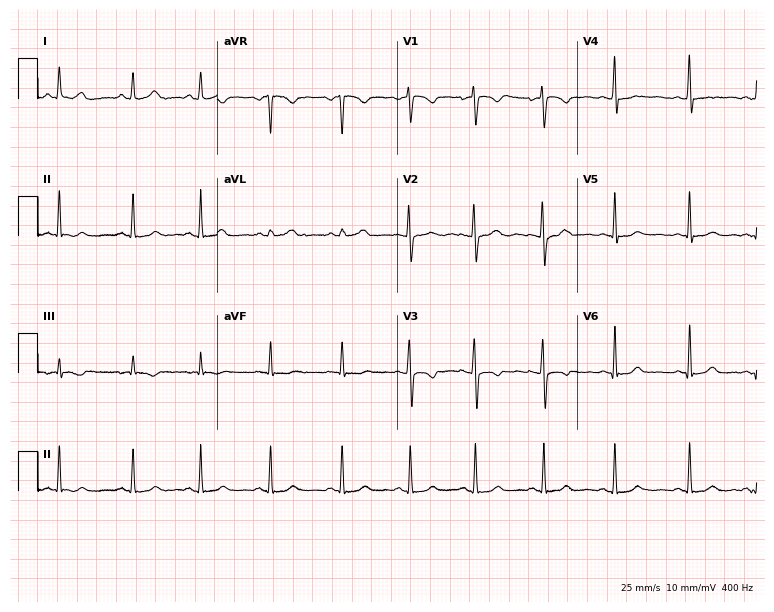
Resting 12-lead electrocardiogram. Patient: a 28-year-old woman. None of these six findings is recorded: first-degree AV block, right bundle branch block (RBBB), left bundle branch block (LBBB), sinus bradycardia, atrial fibrillation (AF), sinus tachycardia. Findings outside these six are not listed.